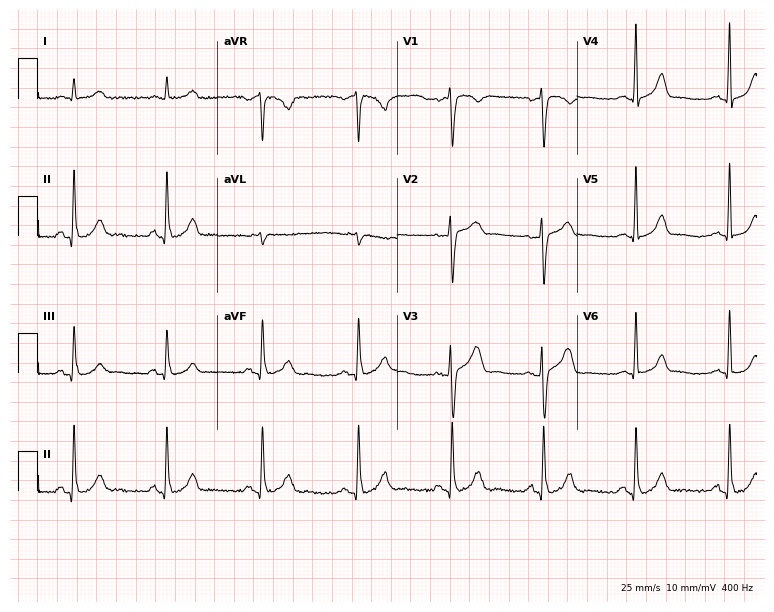
Resting 12-lead electrocardiogram (7.3-second recording at 400 Hz). Patient: a male, 62 years old. Read as a normal ECG.